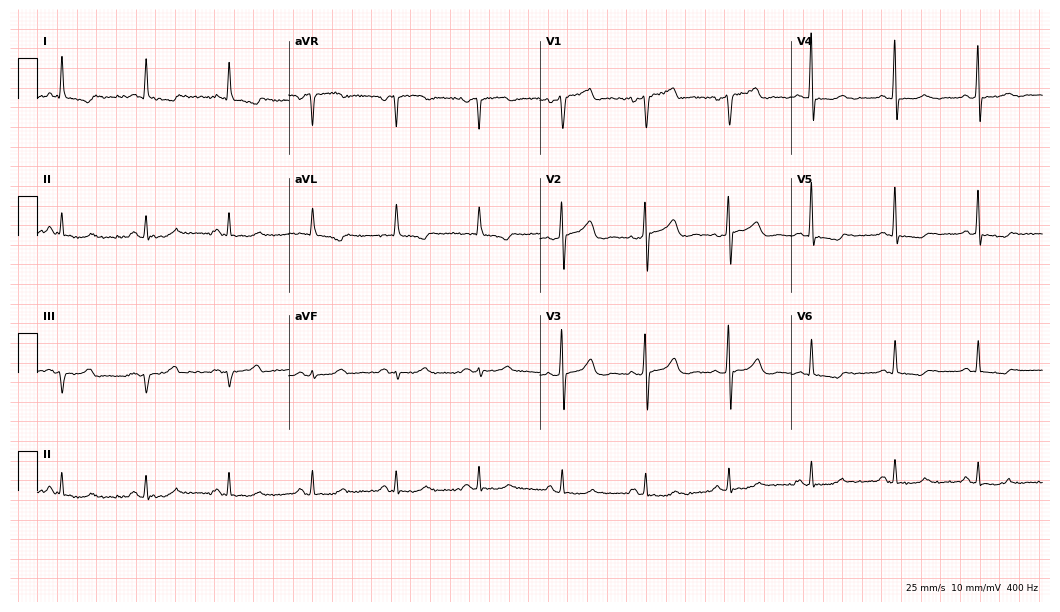
ECG — a 65-year-old male. Labelled as a normal ECG.